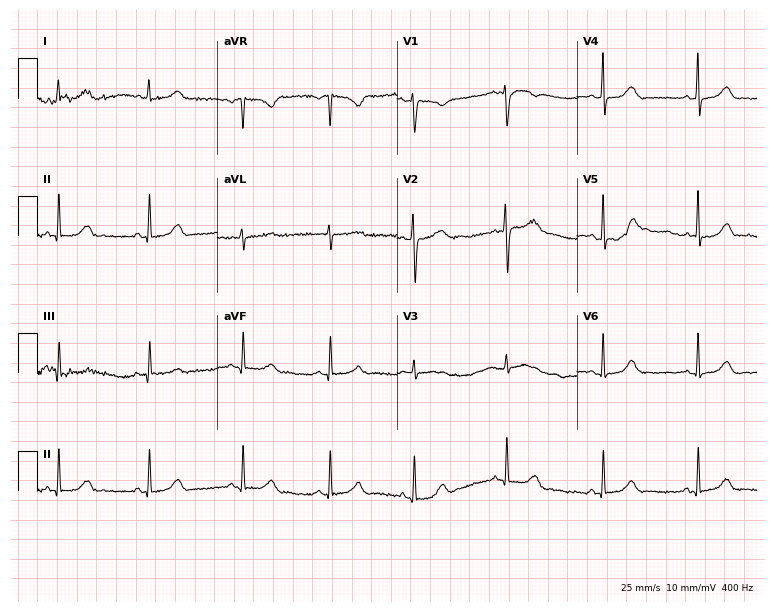
12-lead ECG from a 32-year-old female patient. Labelled as a normal ECG.